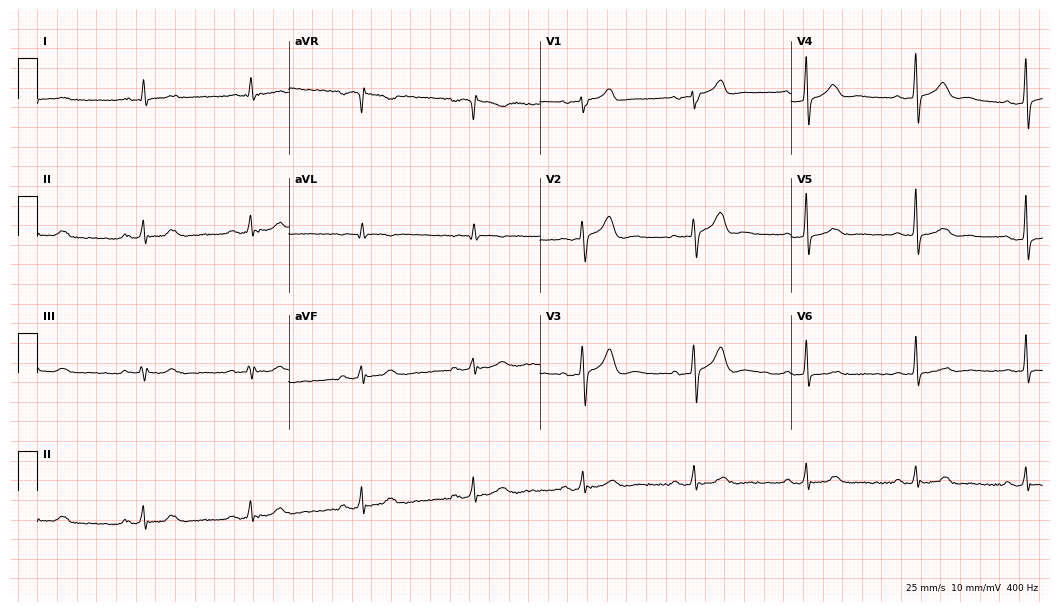
Electrocardiogram (10.2-second recording at 400 Hz), a 54-year-old male patient. Overall reading on record: normal ECG.